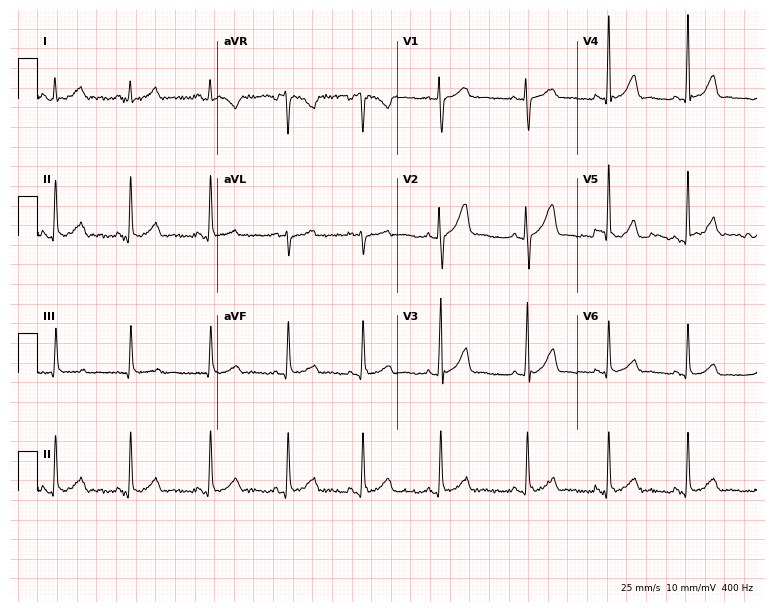
ECG (7.3-second recording at 400 Hz) — a woman, 27 years old. Labelled as a normal ECG.